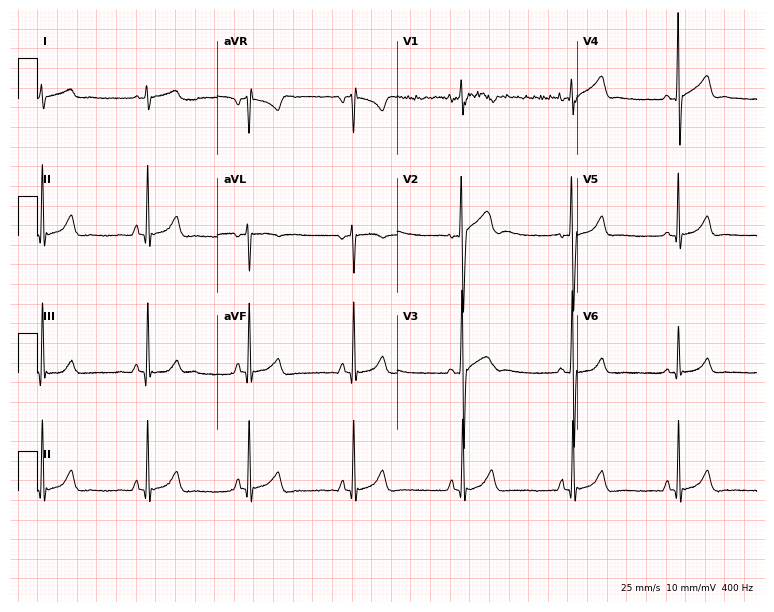
Electrocardiogram, a 17-year-old male patient. Overall reading on record: normal ECG.